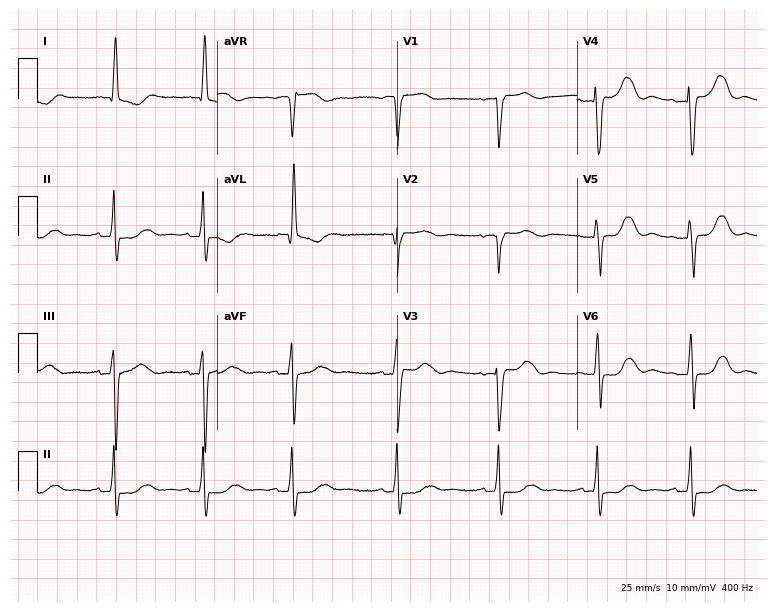
Standard 12-lead ECG recorded from an 81-year-old woman. None of these six findings is recorded: first-degree AV block, right bundle branch block (RBBB), left bundle branch block (LBBB), sinus bradycardia, atrial fibrillation (AF), sinus tachycardia.